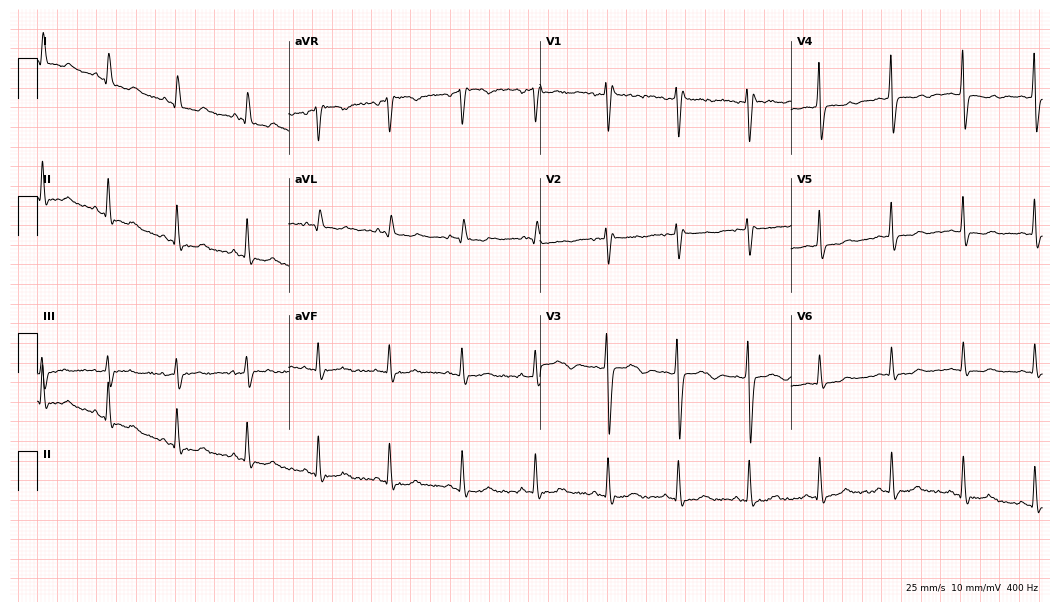
Electrocardiogram, a female patient, 30 years old. Of the six screened findings (first-degree AV block, right bundle branch block, left bundle branch block, sinus bradycardia, atrial fibrillation, sinus tachycardia), none is recorded. Only these six findings were labelled.